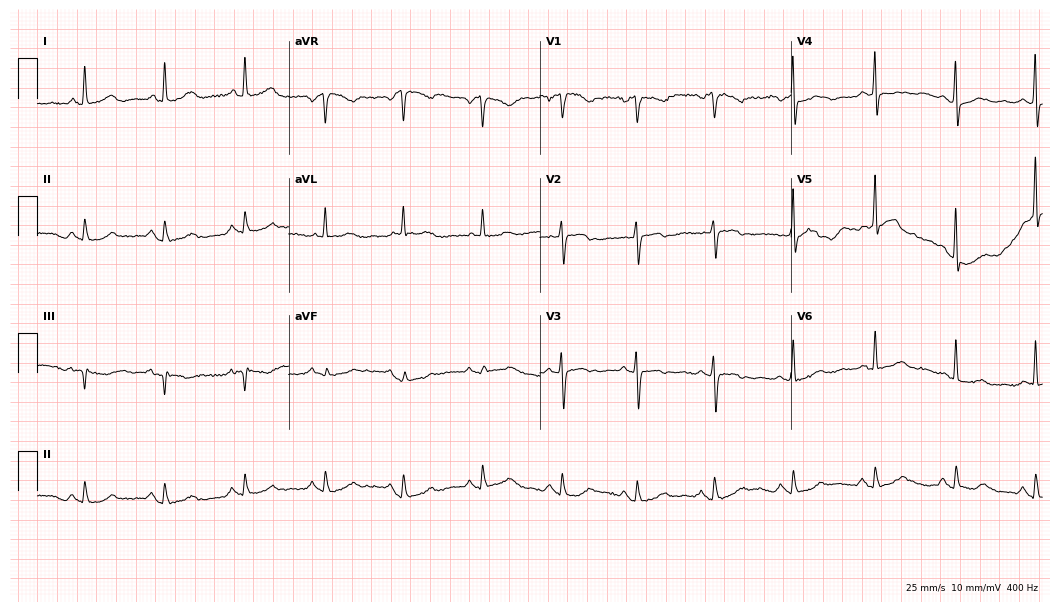
Resting 12-lead electrocardiogram (10.2-second recording at 400 Hz). Patient: a female, 79 years old. None of these six findings is recorded: first-degree AV block, right bundle branch block, left bundle branch block, sinus bradycardia, atrial fibrillation, sinus tachycardia.